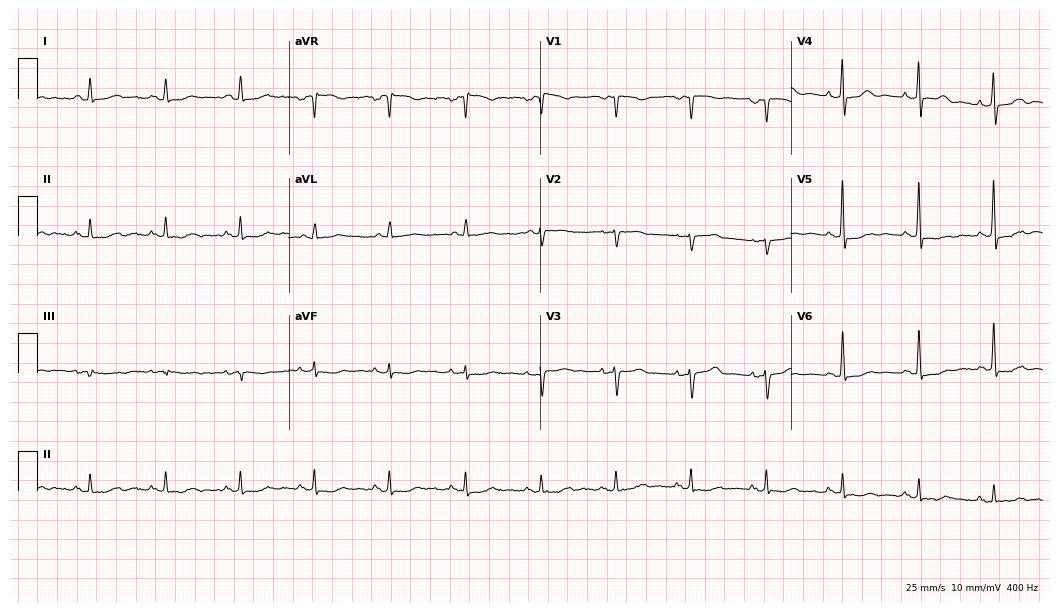
12-lead ECG (10.2-second recording at 400 Hz) from a female patient, 82 years old. Screened for six findings — first-degree AV block, right bundle branch block, left bundle branch block, sinus bradycardia, atrial fibrillation, sinus tachycardia — none is recorded. Findings outside these six are not listed.